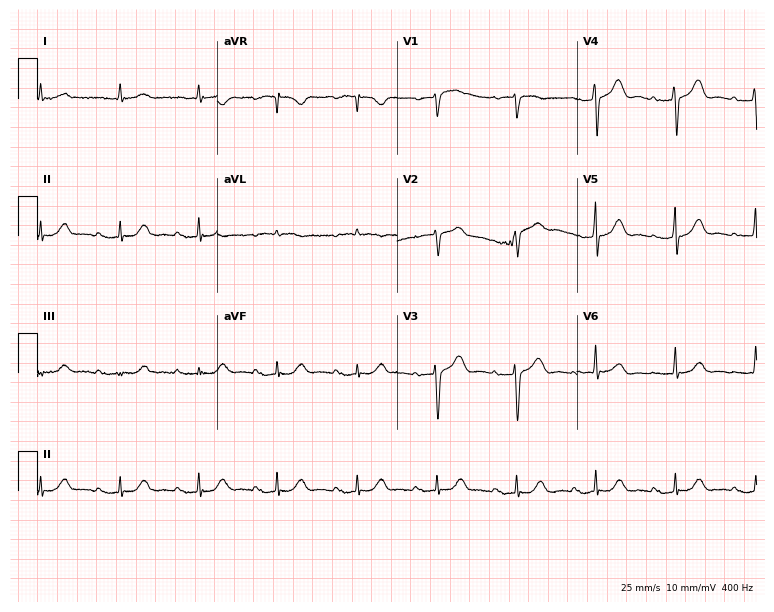
Electrocardiogram (7.3-second recording at 400 Hz), a 77-year-old male. Interpretation includes first-degree AV block.